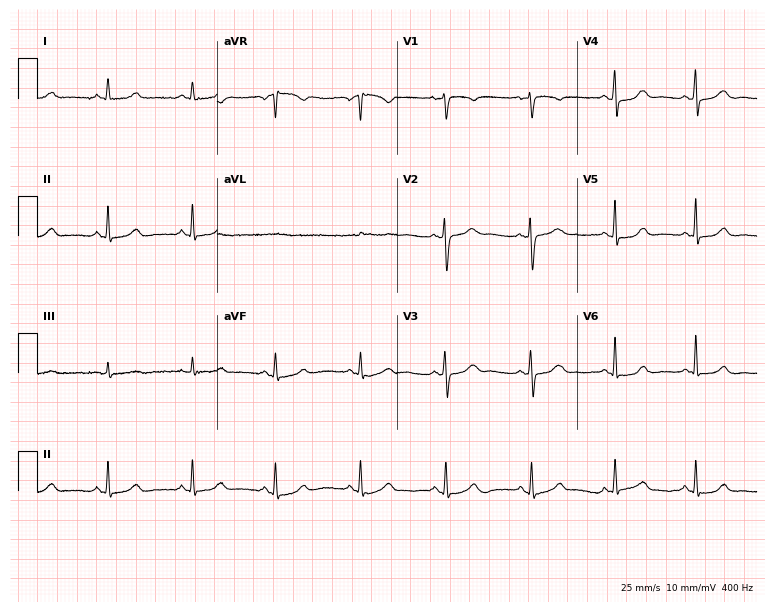
Electrocardiogram (7.3-second recording at 400 Hz), a 43-year-old female patient. Of the six screened findings (first-degree AV block, right bundle branch block (RBBB), left bundle branch block (LBBB), sinus bradycardia, atrial fibrillation (AF), sinus tachycardia), none is recorded.